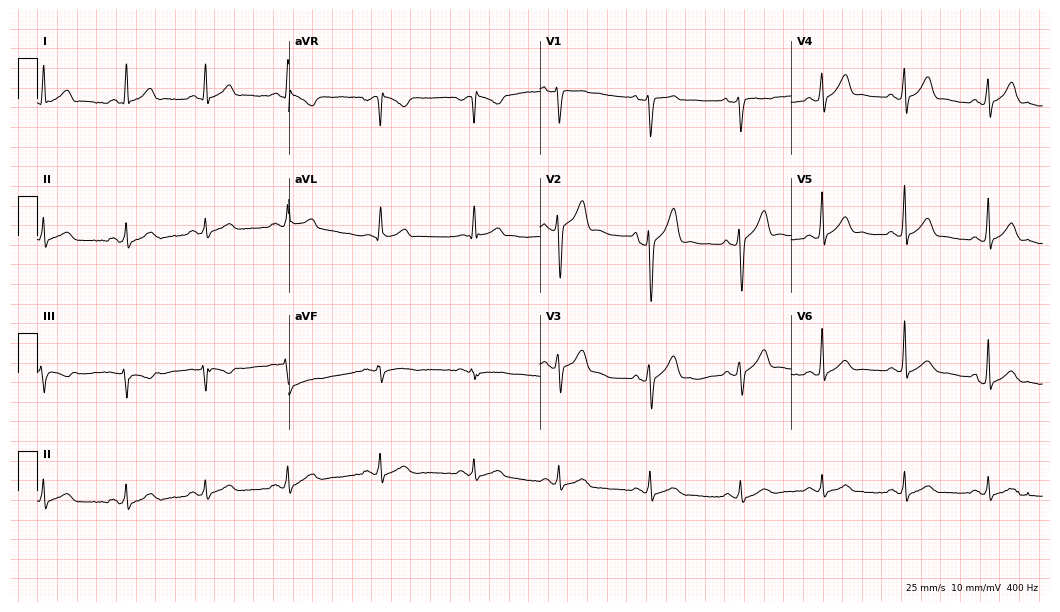
12-lead ECG (10.2-second recording at 400 Hz) from a 40-year-old male. Labelled as a normal ECG.